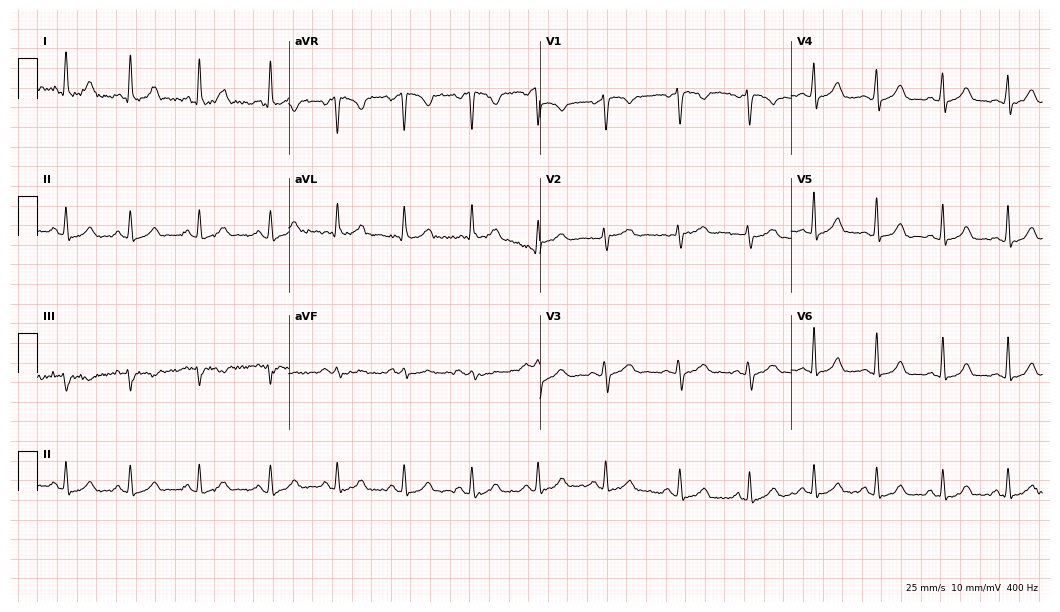
Standard 12-lead ECG recorded from a woman, 37 years old. Read as a normal ECG.